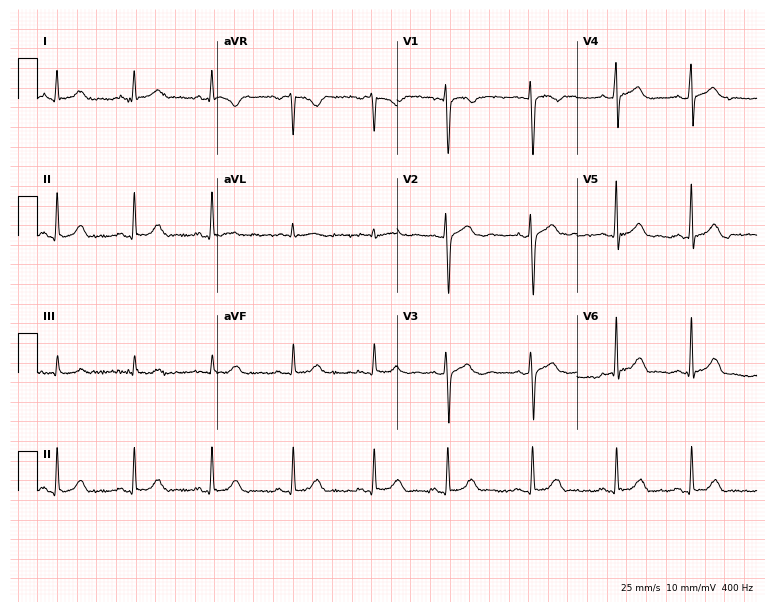
Standard 12-lead ECG recorded from a 30-year-old woman (7.3-second recording at 400 Hz). Read as a normal ECG.